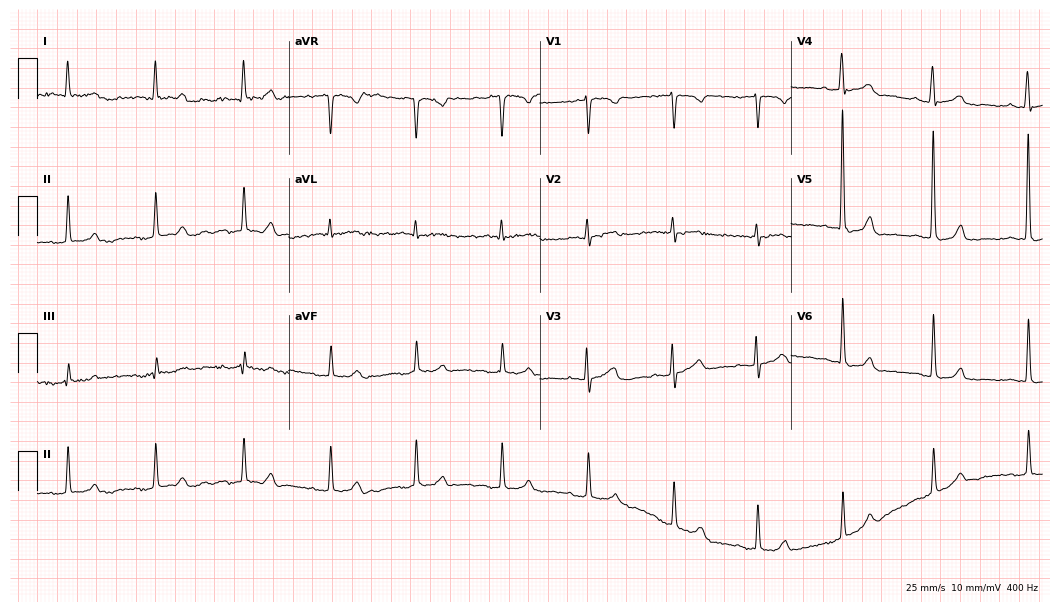
12-lead ECG from a female, 79 years old. No first-degree AV block, right bundle branch block (RBBB), left bundle branch block (LBBB), sinus bradycardia, atrial fibrillation (AF) or sinus tachycardia recorded for this tracing. Other findings, if any, are not listed.